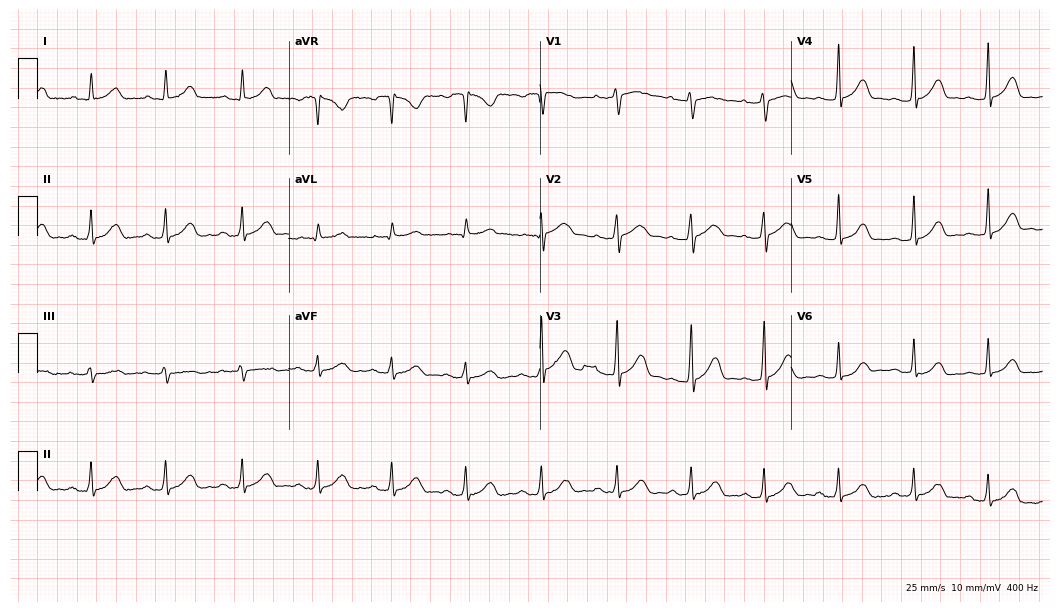
12-lead ECG from a female patient, 36 years old. Labelled as a normal ECG.